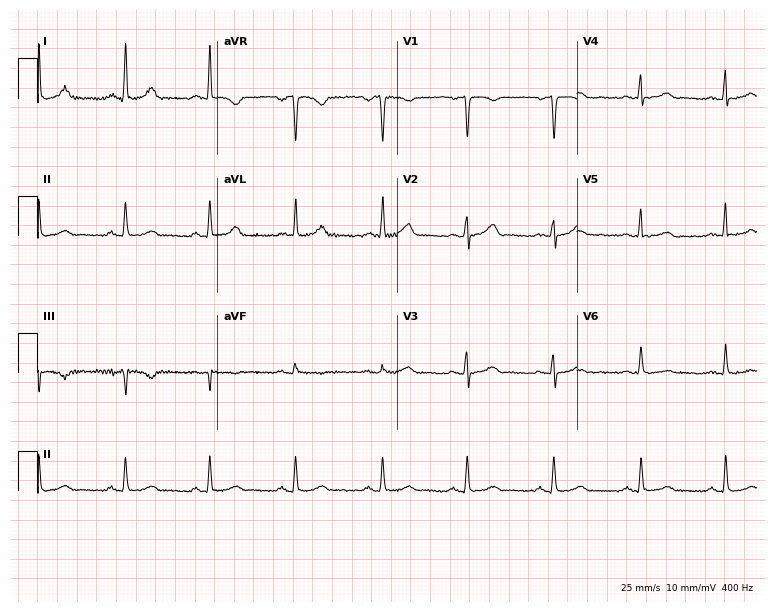
Standard 12-lead ECG recorded from a female patient, 38 years old. Read as a normal ECG.